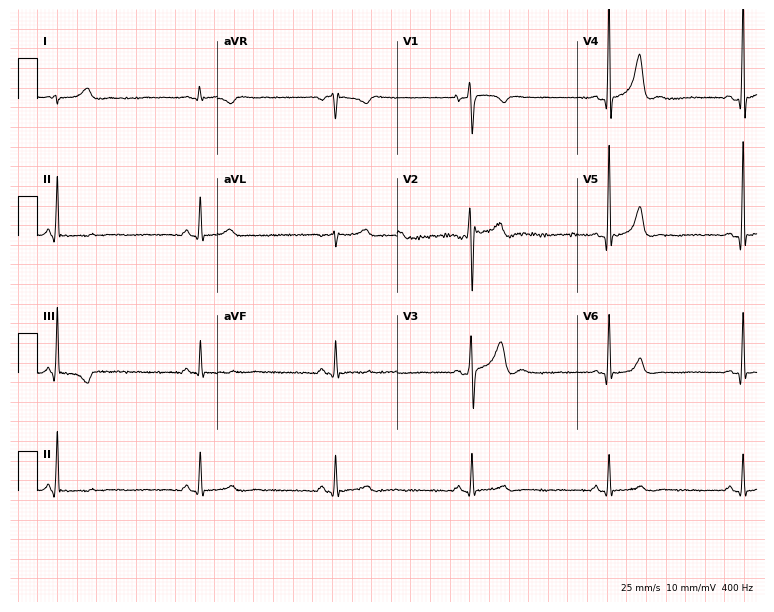
12-lead ECG from a male, 22 years old. Shows sinus bradycardia (a sinus rate of 50 beats per minute or less).